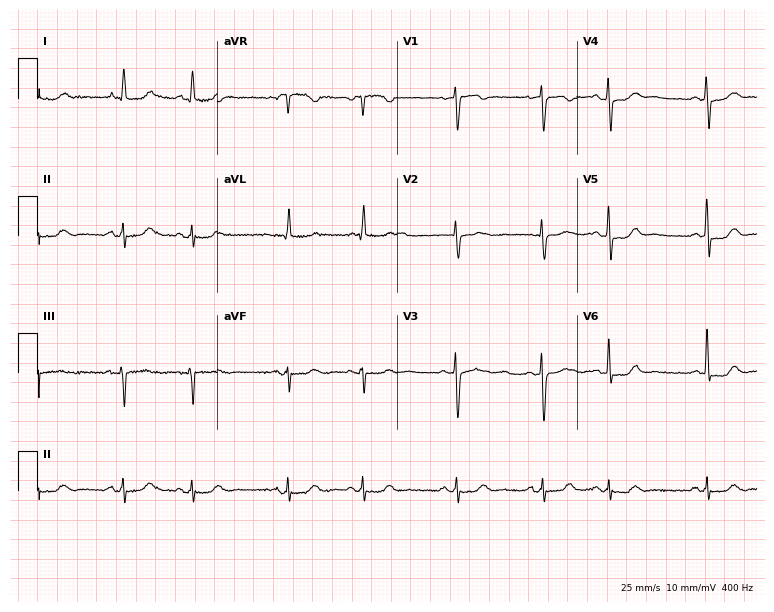
Standard 12-lead ECG recorded from a female, 75 years old (7.3-second recording at 400 Hz). Read as a normal ECG.